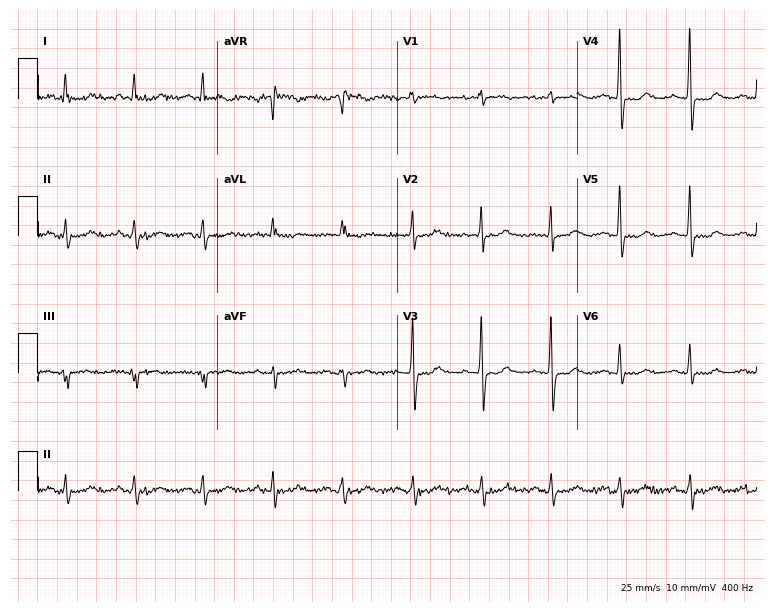
ECG (7.3-second recording at 400 Hz) — a 73-year-old female patient. Screened for six findings — first-degree AV block, right bundle branch block, left bundle branch block, sinus bradycardia, atrial fibrillation, sinus tachycardia — none is recorded.